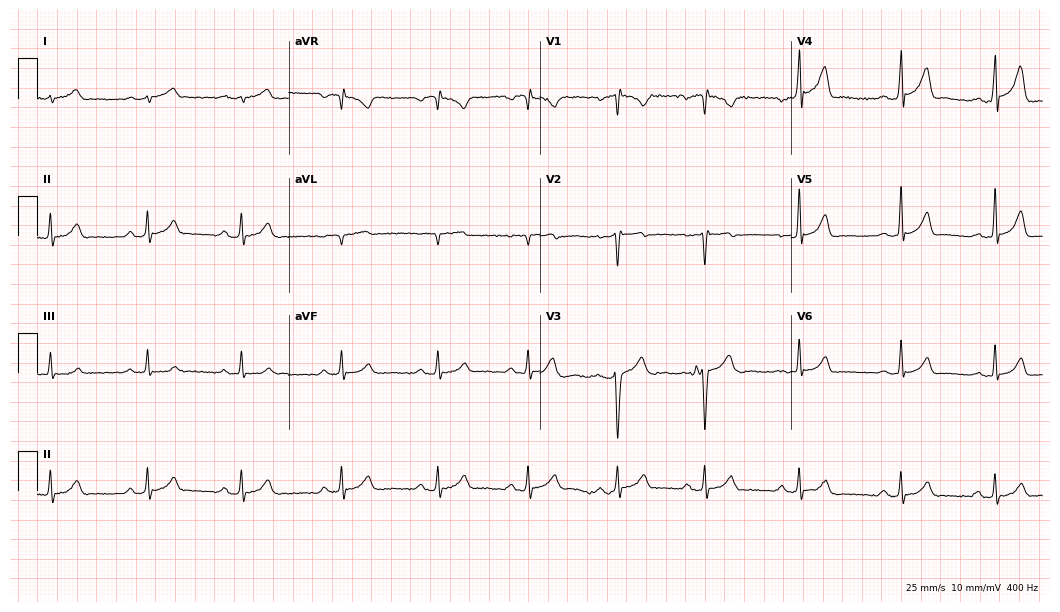
ECG — a 27-year-old man. Labelled as a normal ECG.